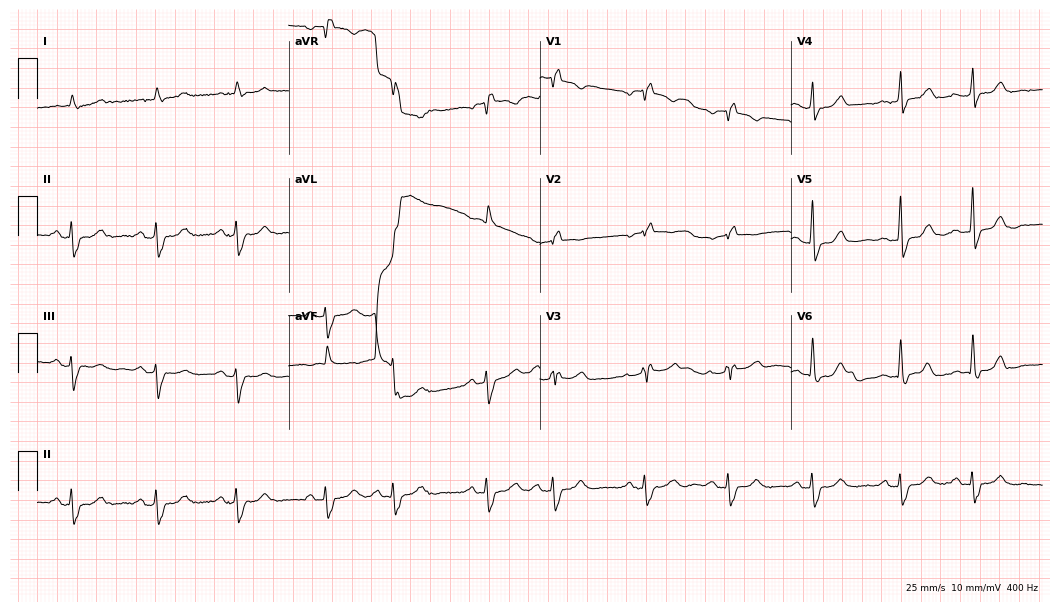
Resting 12-lead electrocardiogram. Patient: a 73-year-old male. The tracing shows right bundle branch block.